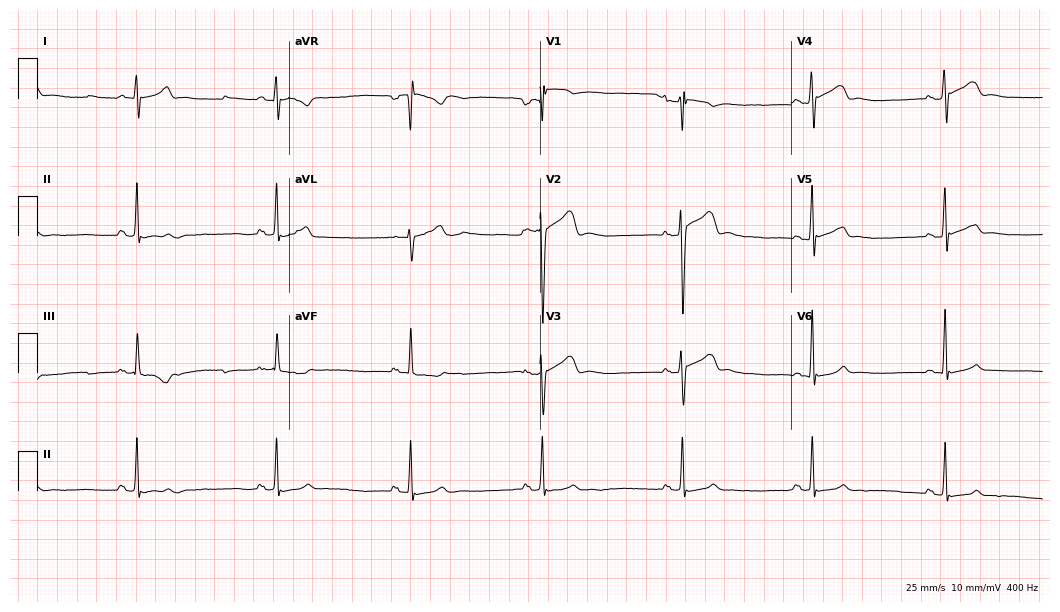
Standard 12-lead ECG recorded from a 21-year-old man. The tracing shows sinus bradycardia (a sinus rate of 50 beats per minute or less).